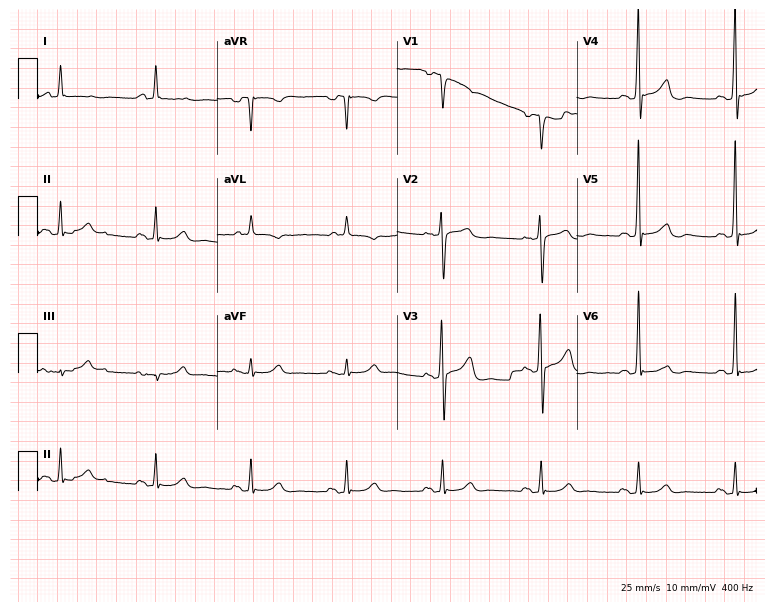
Standard 12-lead ECG recorded from a male patient, 74 years old (7.3-second recording at 400 Hz). None of these six findings is recorded: first-degree AV block, right bundle branch block, left bundle branch block, sinus bradycardia, atrial fibrillation, sinus tachycardia. Findings outside these six are not listed.